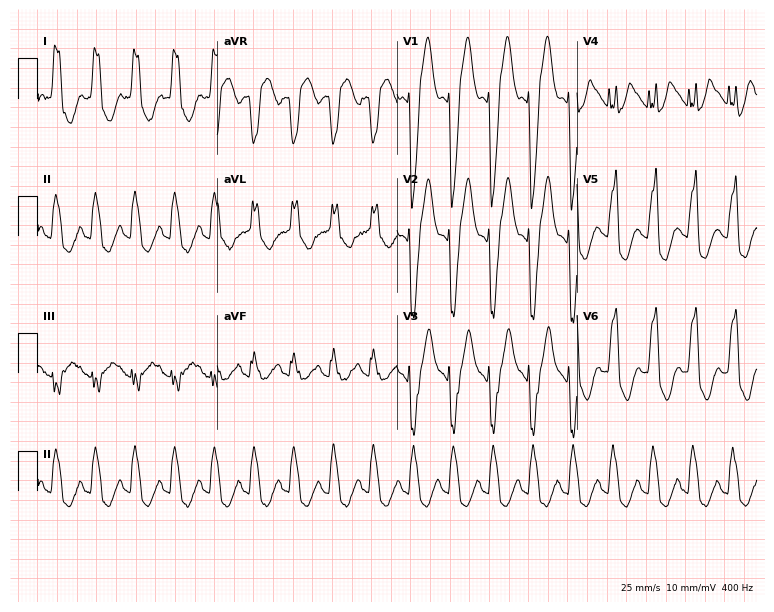
Resting 12-lead electrocardiogram. Patient: a female, 65 years old. The tracing shows left bundle branch block (LBBB), sinus tachycardia (a sinus rate of 100 beats per minute or more).